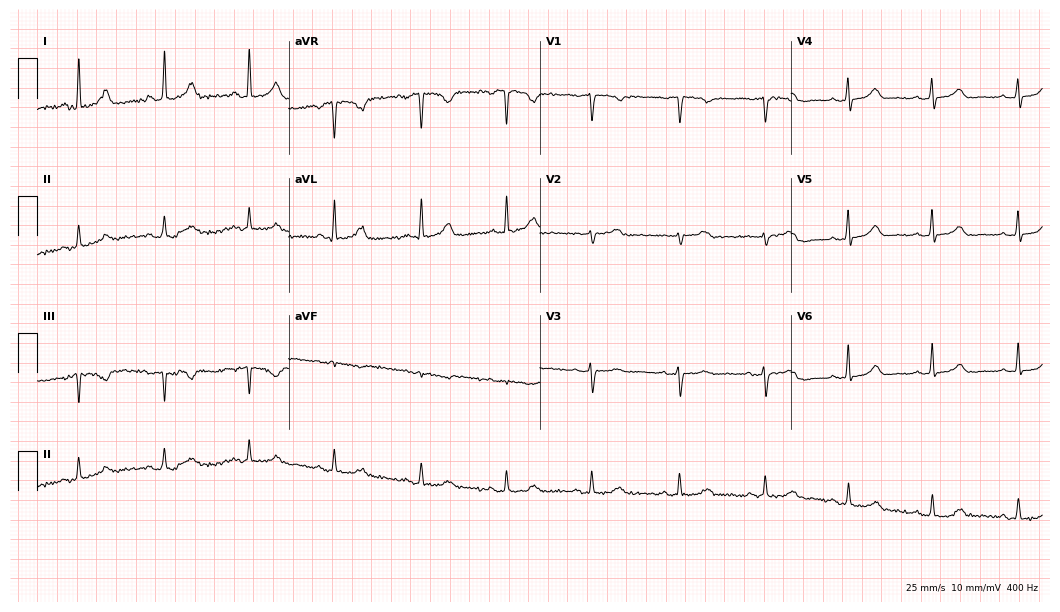
ECG — a 66-year-old woman. Screened for six findings — first-degree AV block, right bundle branch block, left bundle branch block, sinus bradycardia, atrial fibrillation, sinus tachycardia — none is recorded.